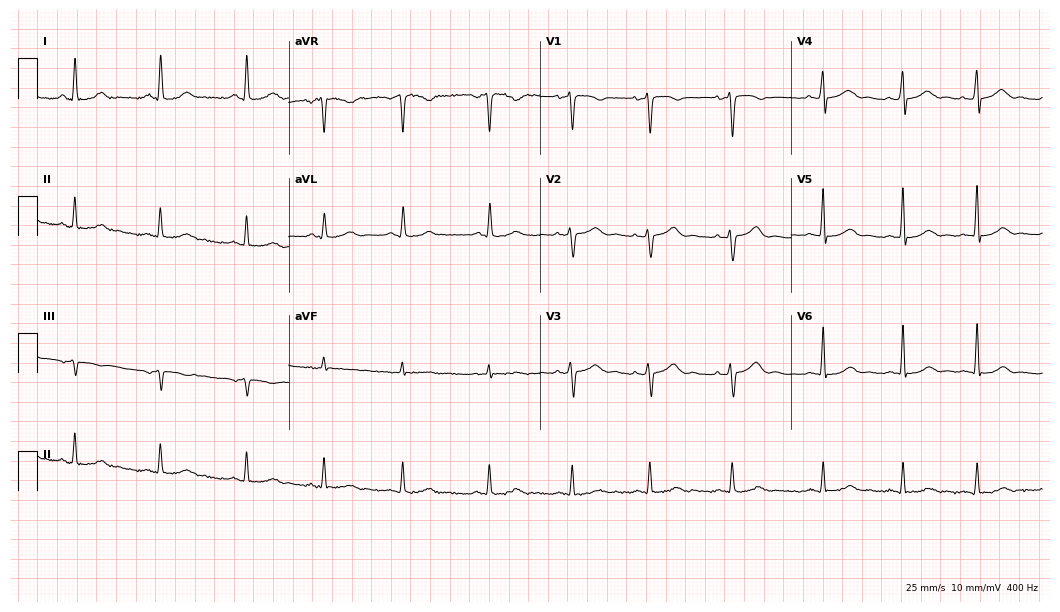
Electrocardiogram, a female, 38 years old. Of the six screened findings (first-degree AV block, right bundle branch block, left bundle branch block, sinus bradycardia, atrial fibrillation, sinus tachycardia), none is recorded. Only these six findings were labelled.